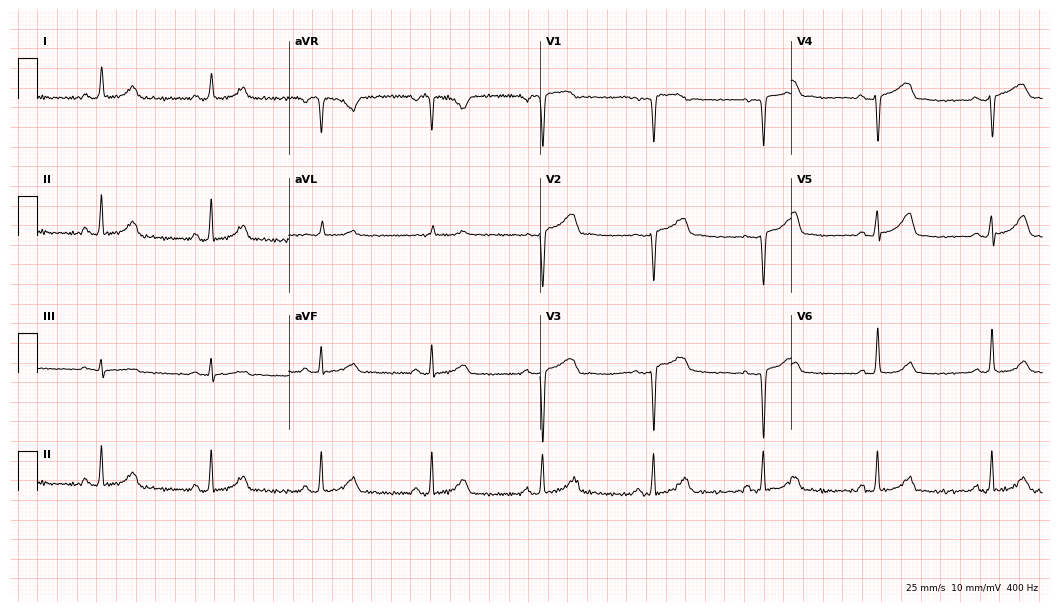
12-lead ECG (10.2-second recording at 400 Hz) from a 47-year-old female patient. Screened for six findings — first-degree AV block, right bundle branch block (RBBB), left bundle branch block (LBBB), sinus bradycardia, atrial fibrillation (AF), sinus tachycardia — none is recorded. Other findings, if any, are not listed.